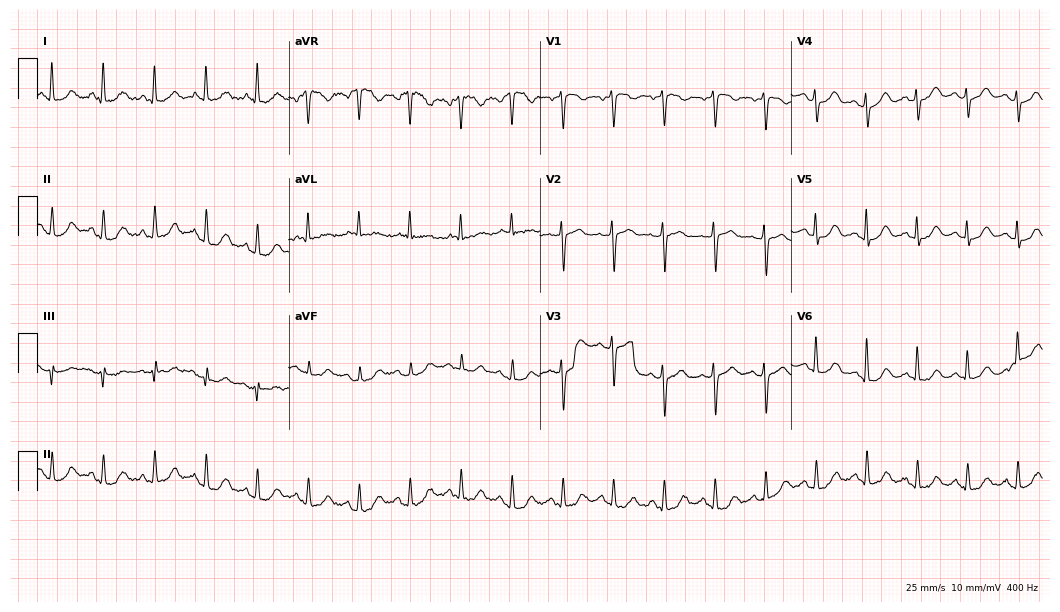
12-lead ECG from an 80-year-old female patient. Shows sinus tachycardia (a sinus rate of 100 beats per minute or more).